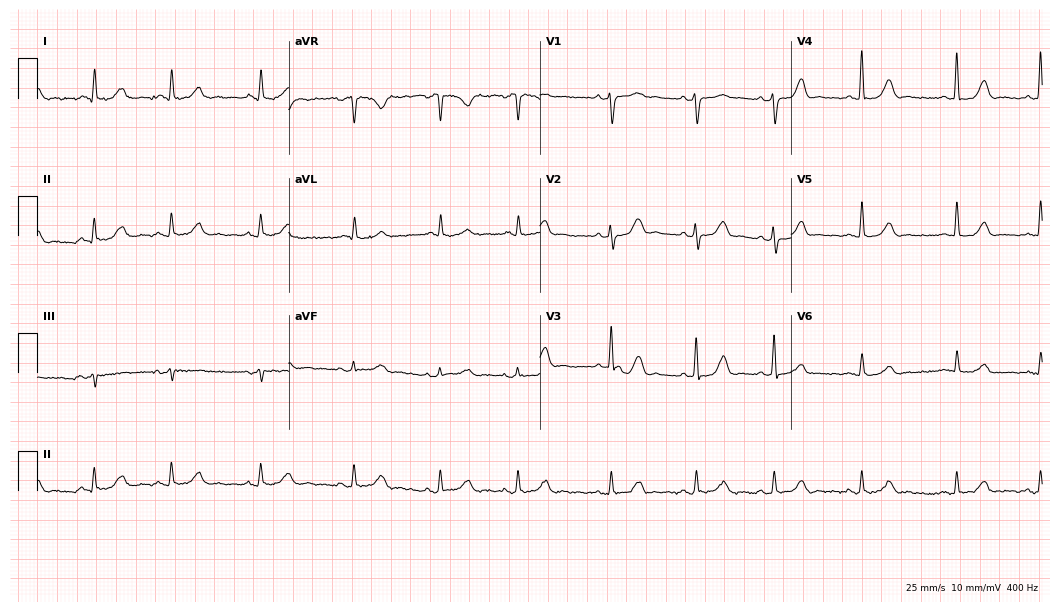
12-lead ECG from a woman, 72 years old (10.2-second recording at 400 Hz). Recorded interpretation: within normal limits.